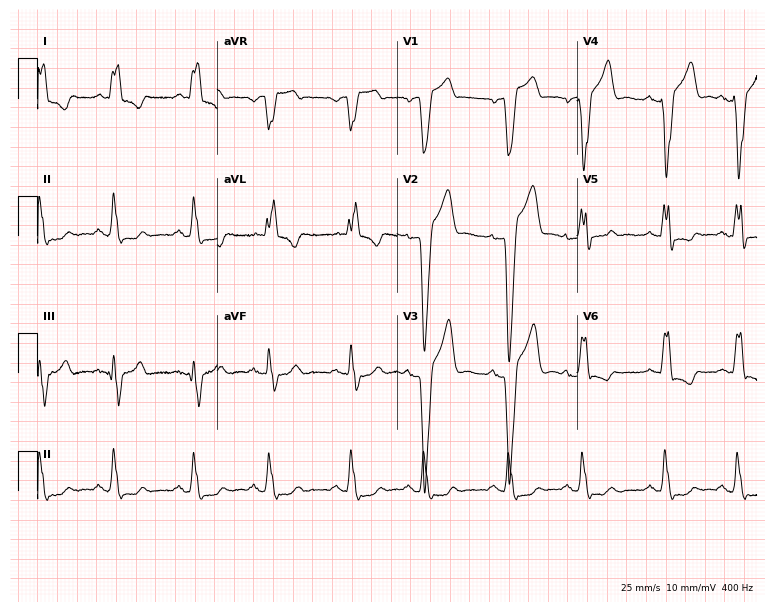
Electrocardiogram, a man, 58 years old. Interpretation includes left bundle branch block.